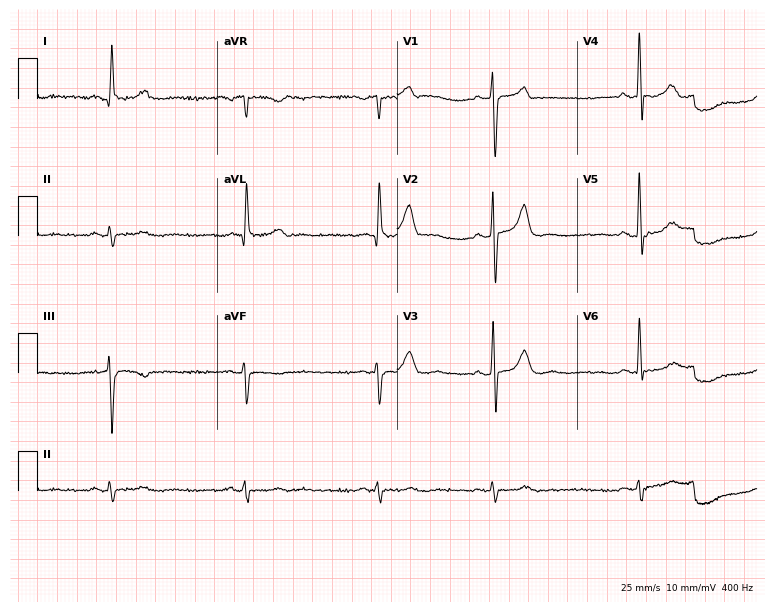
Electrocardiogram (7.3-second recording at 400 Hz), a 76-year-old male. Interpretation includes sinus bradycardia (a sinus rate of 50 beats per minute or less).